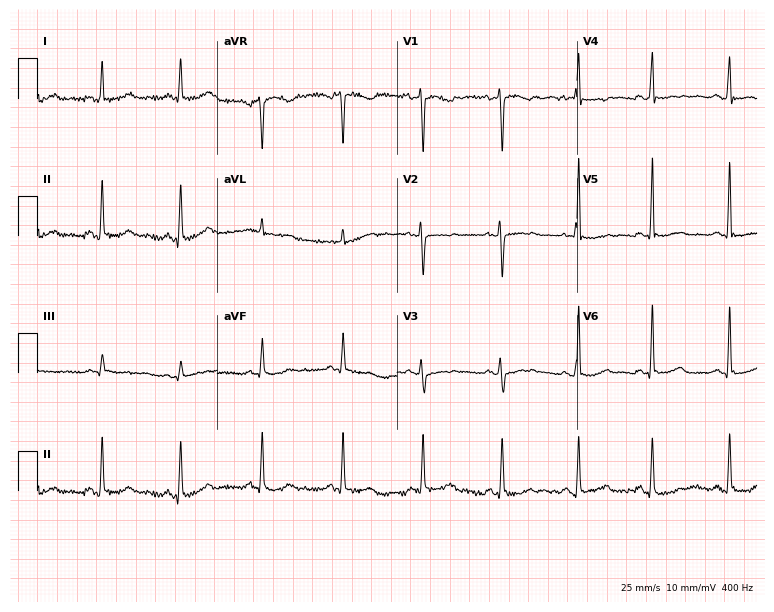
12-lead ECG from a female patient, 33 years old. Screened for six findings — first-degree AV block, right bundle branch block, left bundle branch block, sinus bradycardia, atrial fibrillation, sinus tachycardia — none is recorded. Only these six findings were labelled.